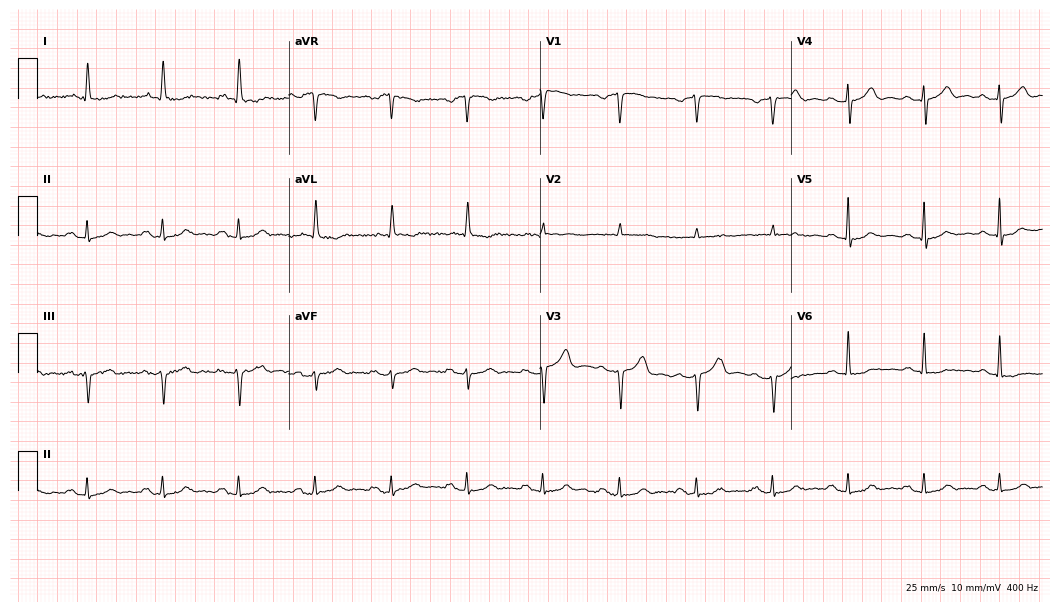
Standard 12-lead ECG recorded from a male, 72 years old (10.2-second recording at 400 Hz). None of these six findings is recorded: first-degree AV block, right bundle branch block, left bundle branch block, sinus bradycardia, atrial fibrillation, sinus tachycardia.